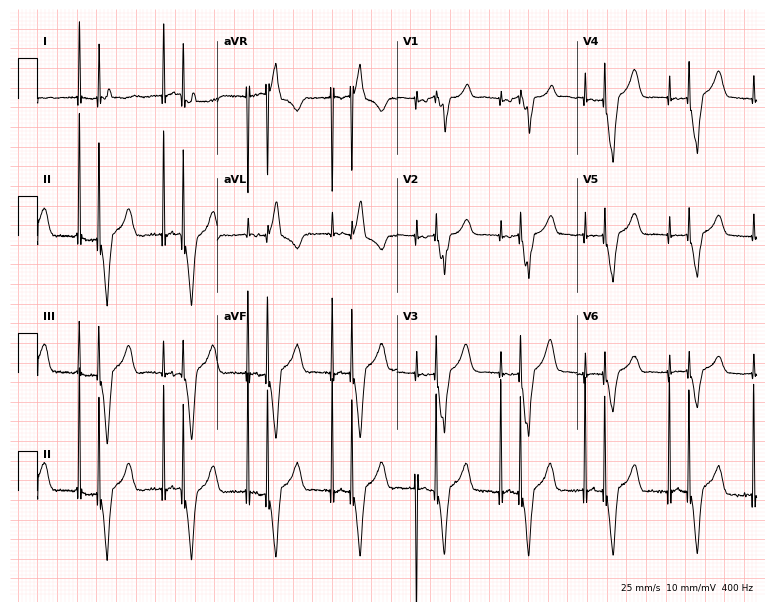
12-lead ECG from a man, 76 years old. No first-degree AV block, right bundle branch block, left bundle branch block, sinus bradycardia, atrial fibrillation or sinus tachycardia recorded for this tracing. Other findings, if any, are not listed.